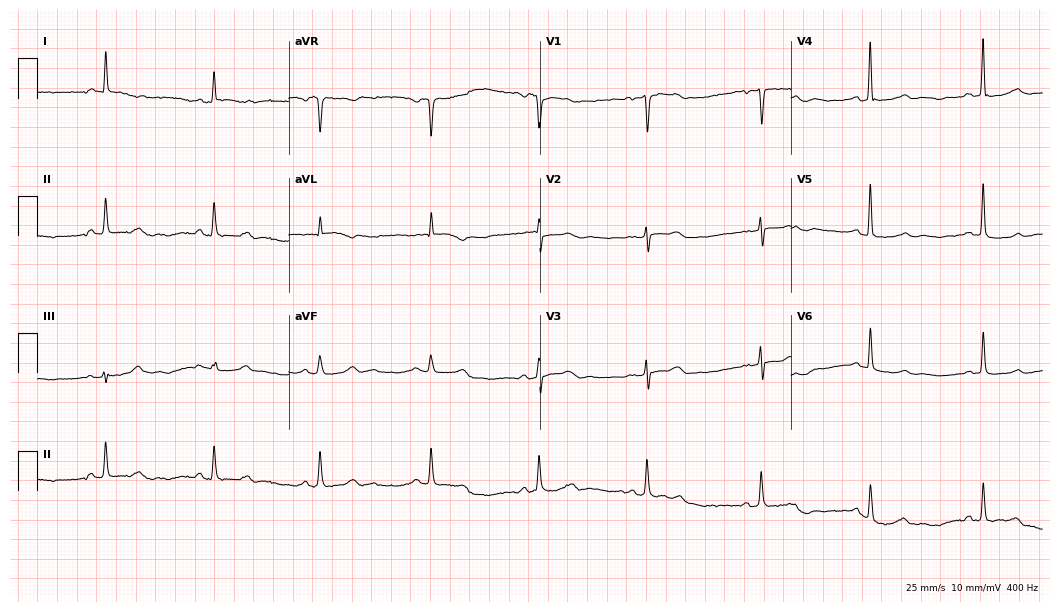
Electrocardiogram (10.2-second recording at 400 Hz), a 59-year-old female. Overall reading on record: normal ECG.